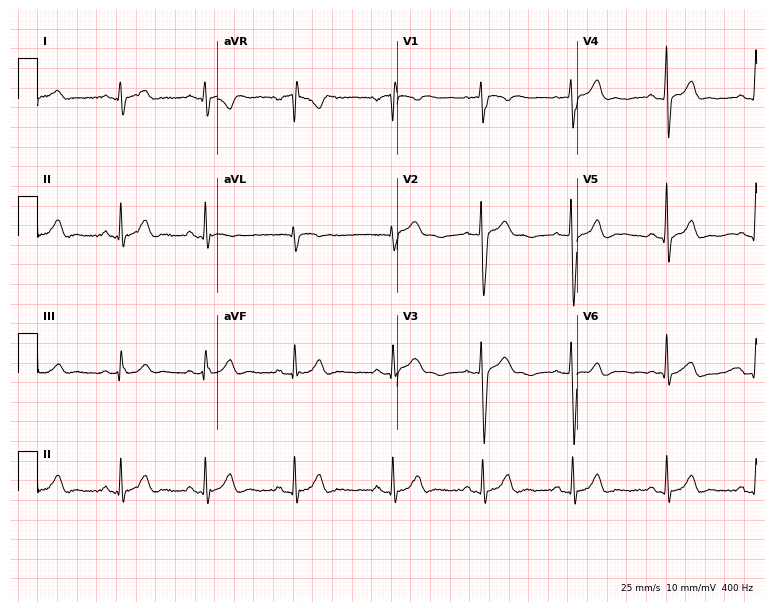
12-lead ECG from a male patient, 27 years old. Recorded interpretation: within normal limits.